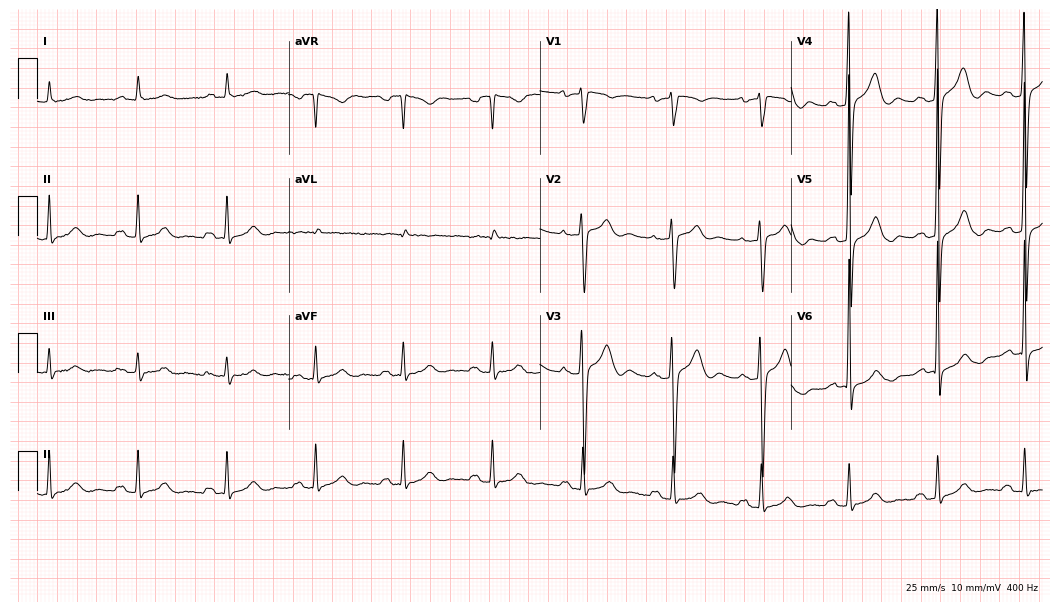
12-lead ECG from a man, 69 years old. No first-degree AV block, right bundle branch block (RBBB), left bundle branch block (LBBB), sinus bradycardia, atrial fibrillation (AF) or sinus tachycardia recorded for this tracing. Only these six findings were labelled.